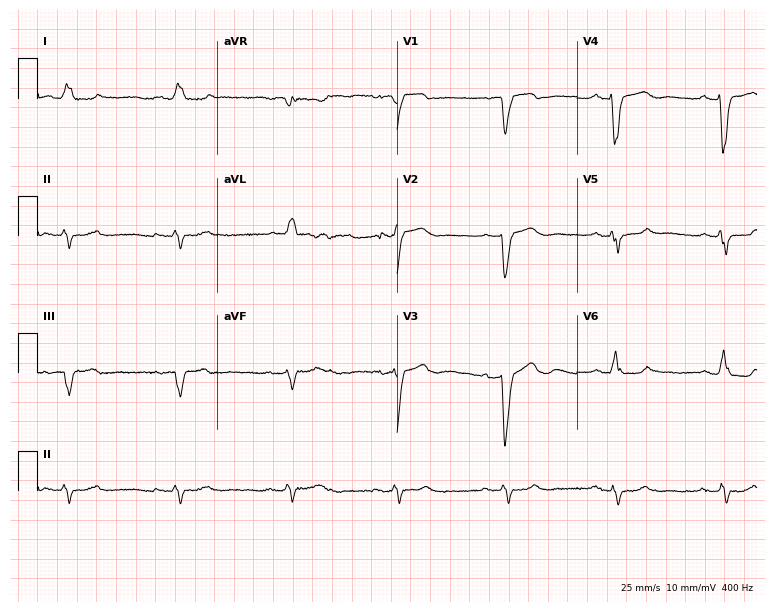
Resting 12-lead electrocardiogram (7.3-second recording at 400 Hz). Patient: an 82-year-old man. The tracing shows left bundle branch block.